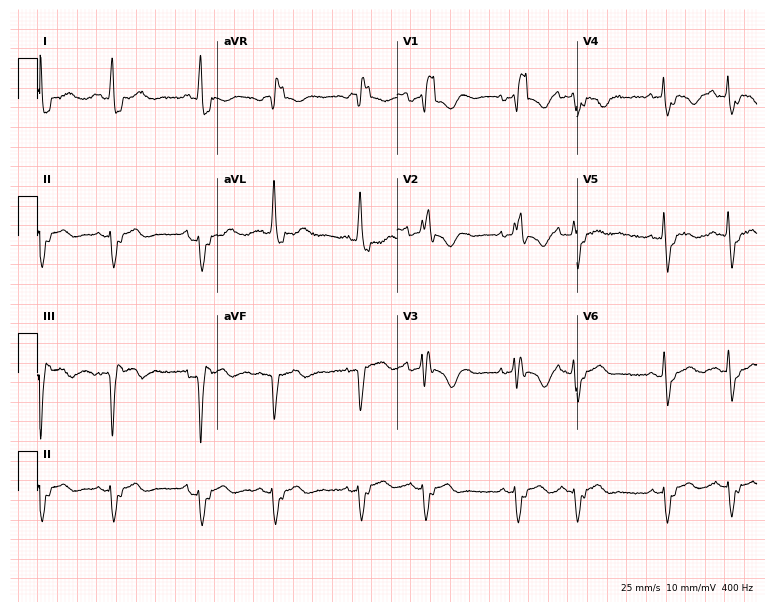
12-lead ECG from a female patient, 84 years old (7.3-second recording at 400 Hz). Shows right bundle branch block.